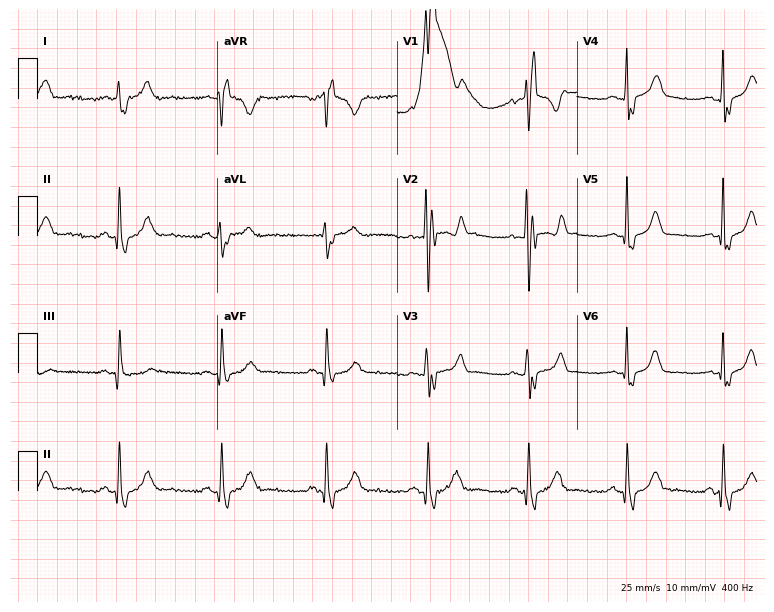
Resting 12-lead electrocardiogram. Patient: a male, 35 years old. The tracing shows right bundle branch block.